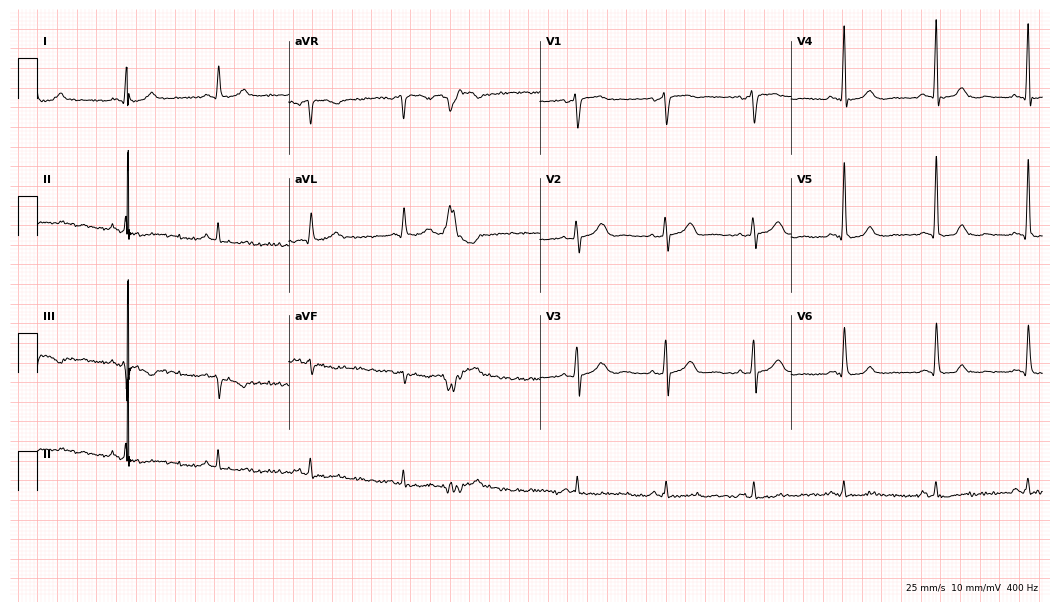
12-lead ECG from a 62-year-old male. Screened for six findings — first-degree AV block, right bundle branch block, left bundle branch block, sinus bradycardia, atrial fibrillation, sinus tachycardia — none is recorded.